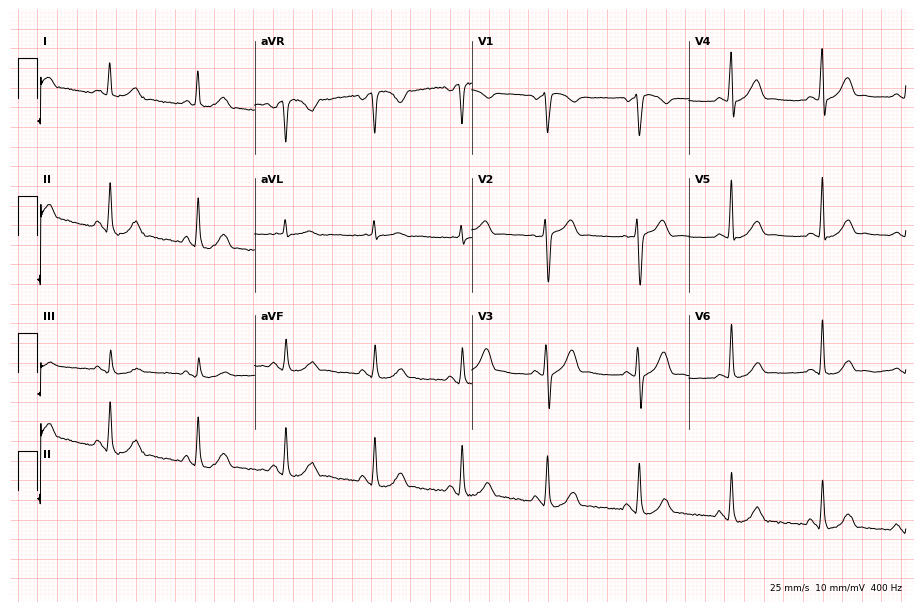
ECG — a male patient, 41 years old. Screened for six findings — first-degree AV block, right bundle branch block, left bundle branch block, sinus bradycardia, atrial fibrillation, sinus tachycardia — none is recorded. Findings outside these six are not listed.